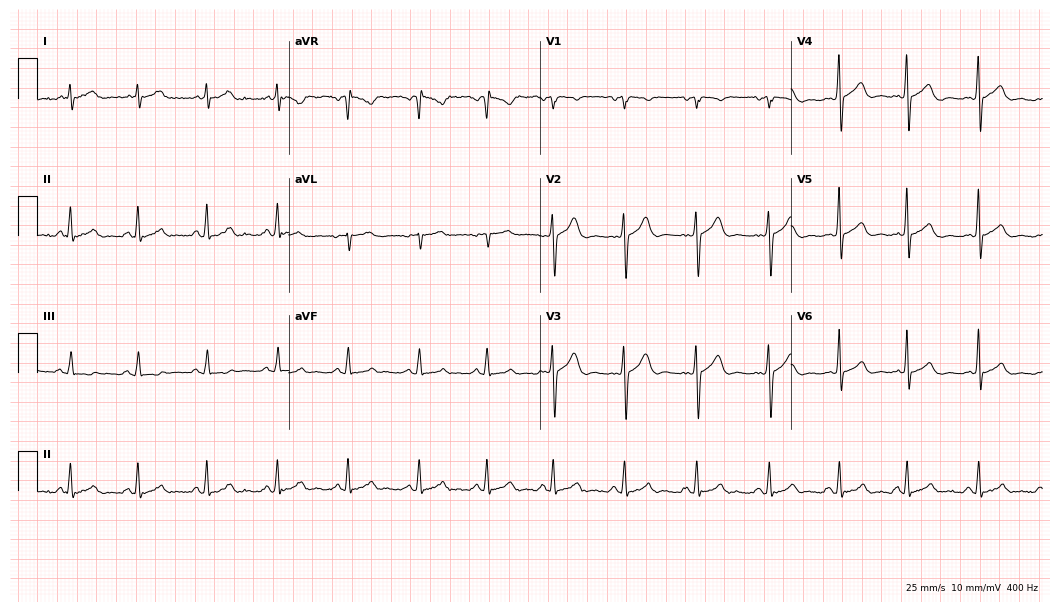
12-lead ECG from a 24-year-old male patient. Labelled as a normal ECG.